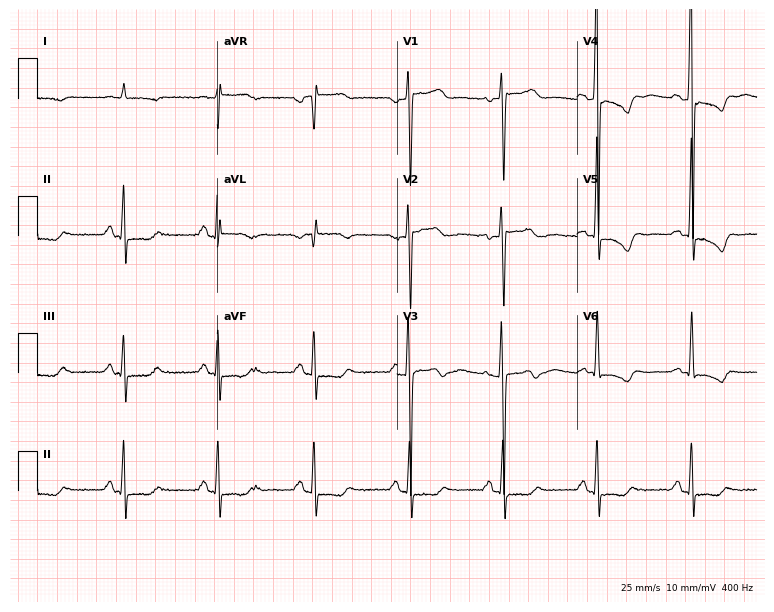
Electrocardiogram (7.3-second recording at 400 Hz), a man, 81 years old. Of the six screened findings (first-degree AV block, right bundle branch block, left bundle branch block, sinus bradycardia, atrial fibrillation, sinus tachycardia), none is recorded.